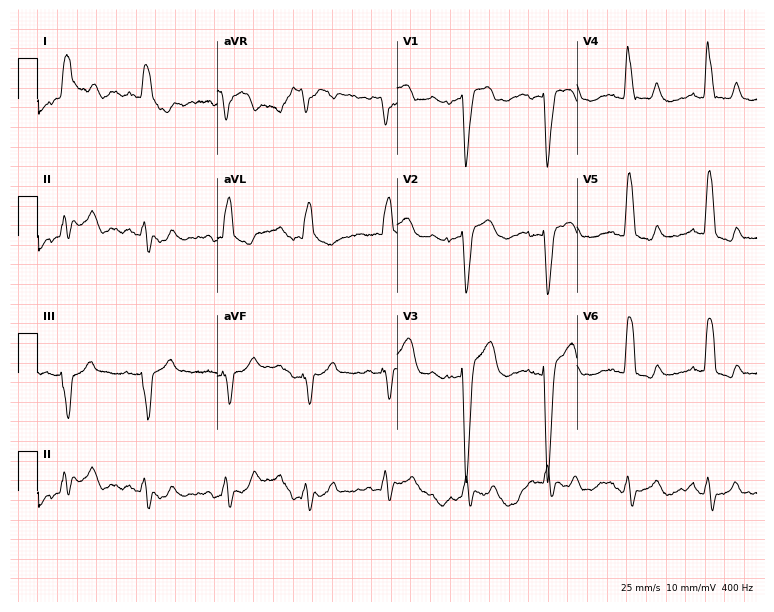
12-lead ECG from a 74-year-old female patient. Shows left bundle branch block.